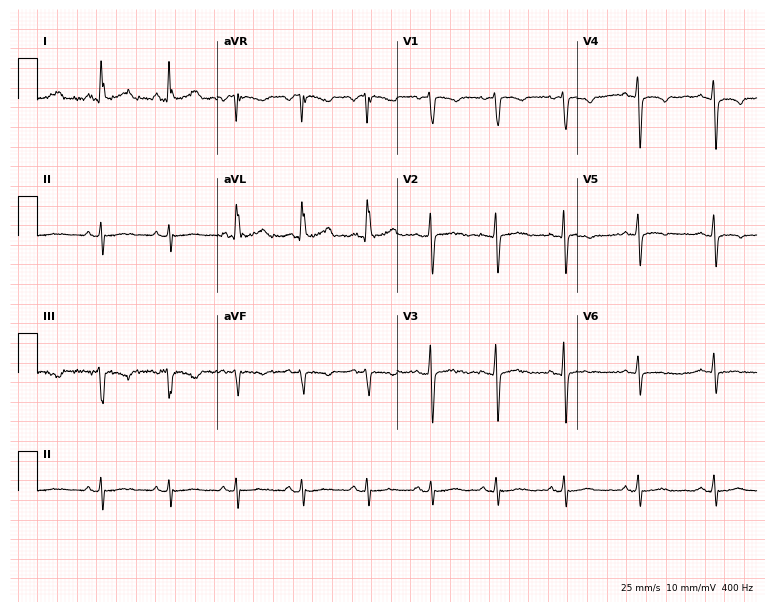
ECG (7.3-second recording at 400 Hz) — a 45-year-old female. Screened for six findings — first-degree AV block, right bundle branch block, left bundle branch block, sinus bradycardia, atrial fibrillation, sinus tachycardia — none is recorded. Only these six findings were labelled.